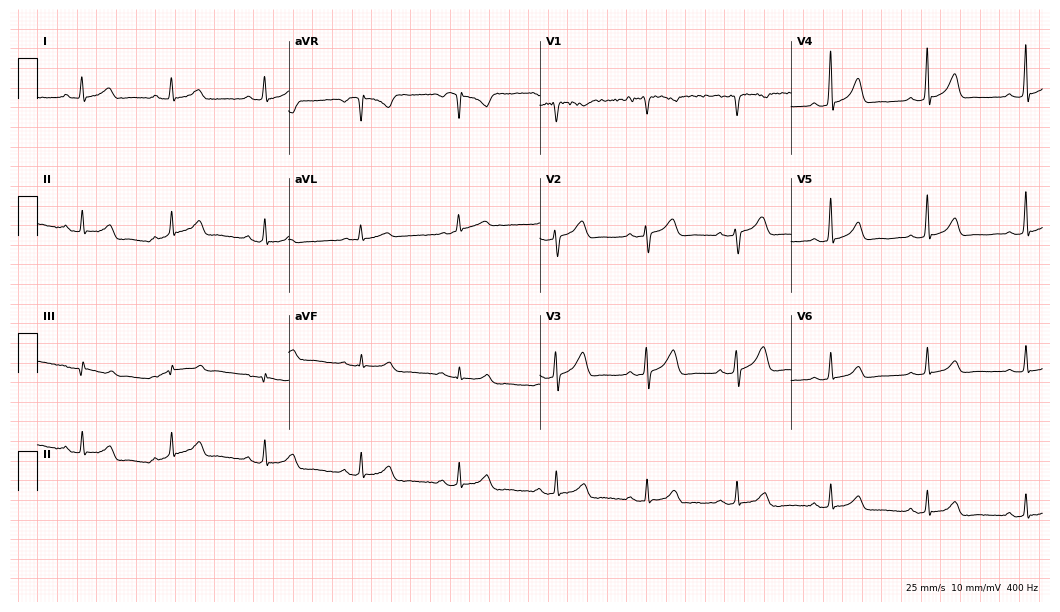
Resting 12-lead electrocardiogram (10.2-second recording at 400 Hz). Patient: a female, 34 years old. Read as a normal ECG.